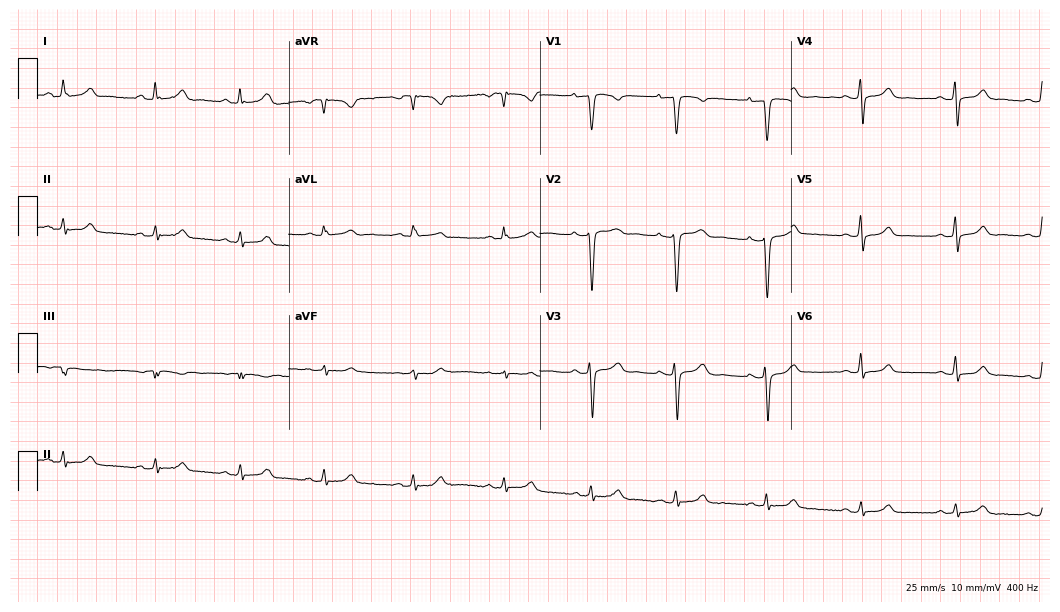
Standard 12-lead ECG recorded from a woman, 40 years old (10.2-second recording at 400 Hz). None of these six findings is recorded: first-degree AV block, right bundle branch block, left bundle branch block, sinus bradycardia, atrial fibrillation, sinus tachycardia. Other findings, if any, are not listed.